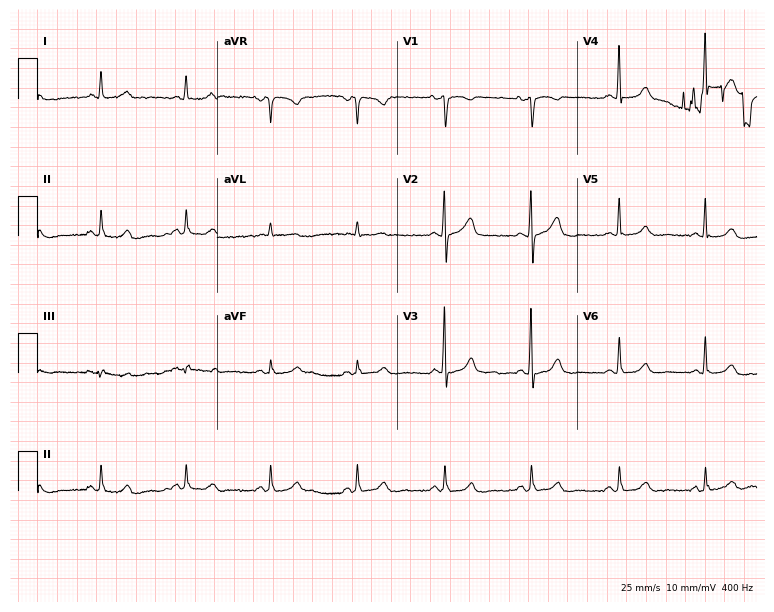
Standard 12-lead ECG recorded from a 66-year-old female patient (7.3-second recording at 400 Hz). Read as a normal ECG.